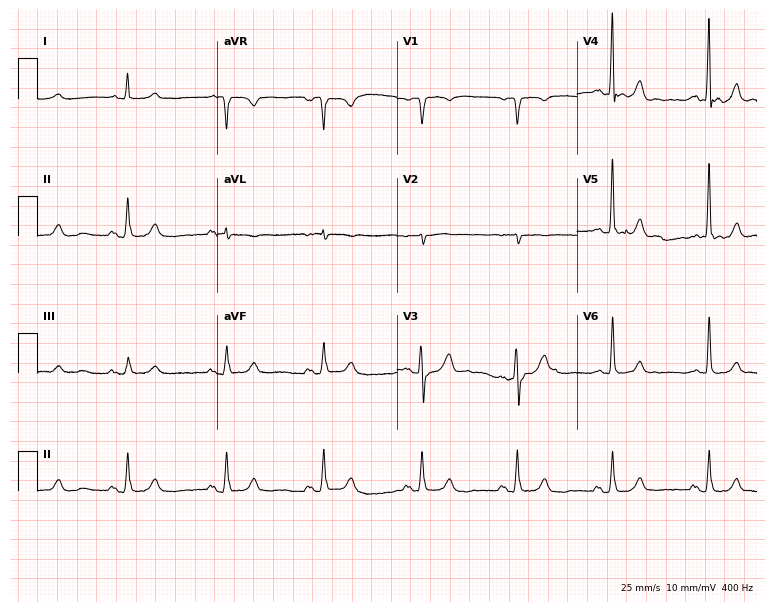
12-lead ECG from an 80-year-old man (7.3-second recording at 400 Hz). No first-degree AV block, right bundle branch block (RBBB), left bundle branch block (LBBB), sinus bradycardia, atrial fibrillation (AF) or sinus tachycardia recorded for this tracing.